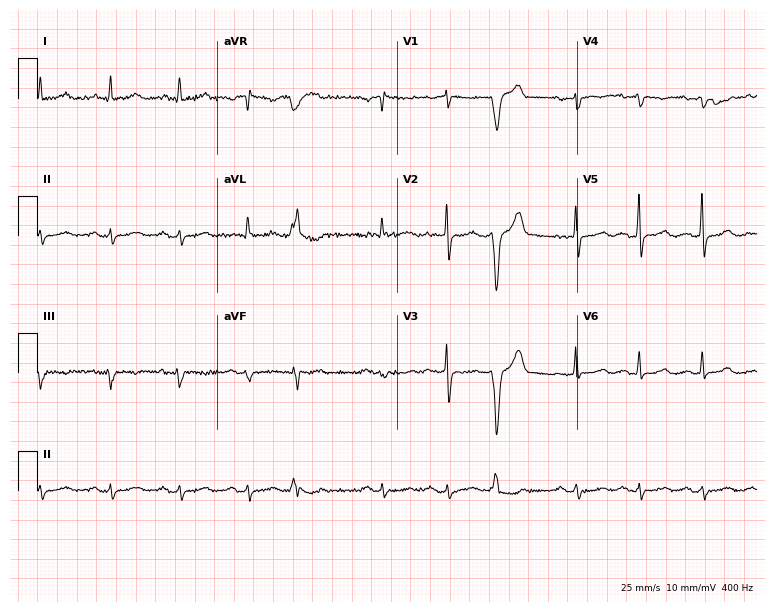
12-lead ECG (7.3-second recording at 400 Hz) from a 74-year-old man. Screened for six findings — first-degree AV block, right bundle branch block, left bundle branch block, sinus bradycardia, atrial fibrillation, sinus tachycardia — none is recorded. Only these six findings were labelled.